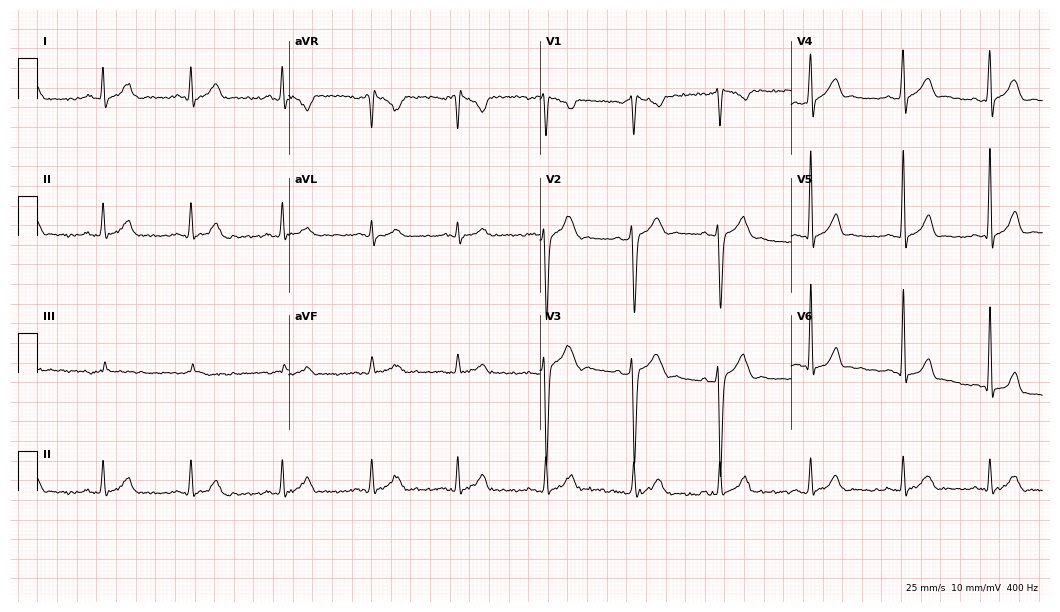
12-lead ECG (10.2-second recording at 400 Hz) from a male patient, 25 years old. Labelled as a normal ECG.